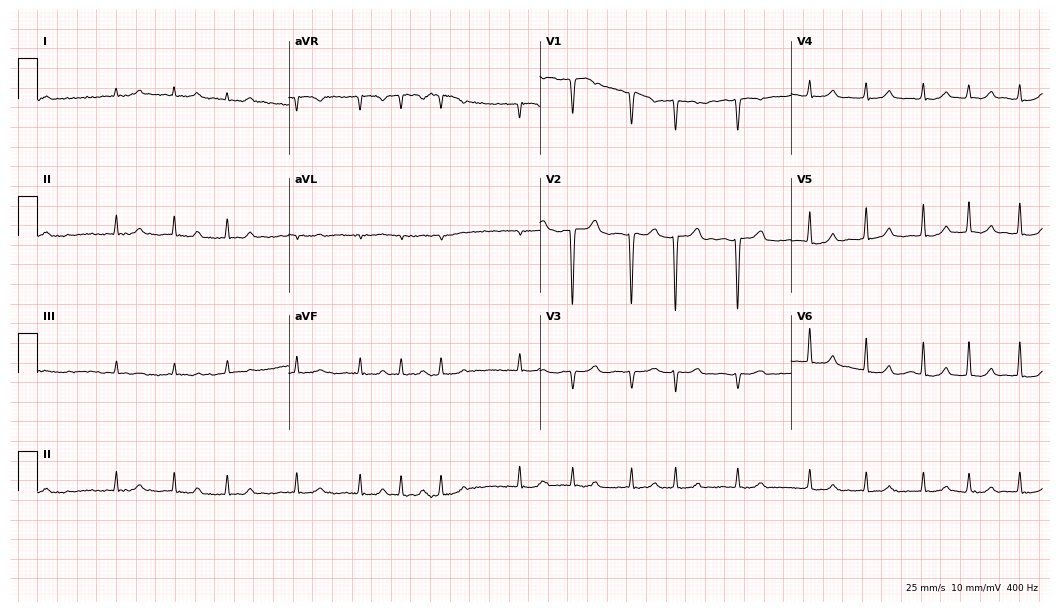
ECG (10.2-second recording at 400 Hz) — a female patient, 77 years old. Findings include atrial fibrillation (AF).